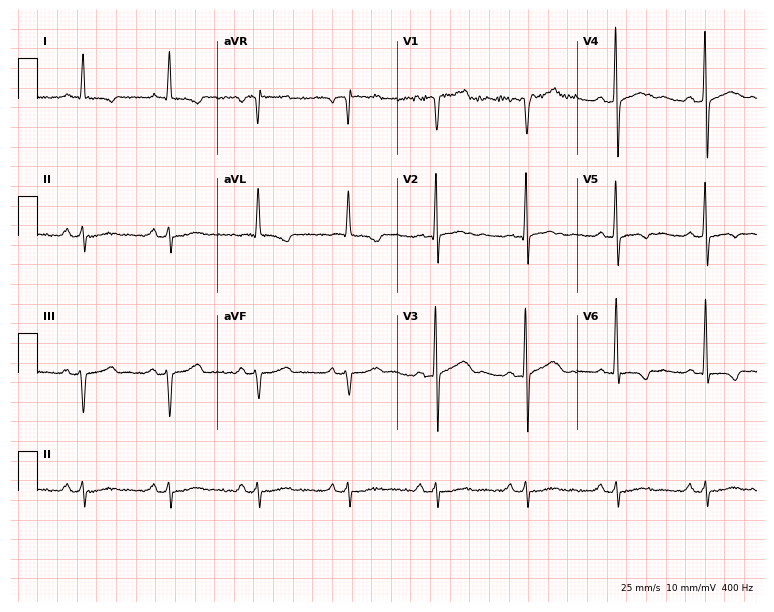
12-lead ECG from a 76-year-old male patient (7.3-second recording at 400 Hz). No first-degree AV block, right bundle branch block, left bundle branch block, sinus bradycardia, atrial fibrillation or sinus tachycardia recorded for this tracing. Only these six findings were labelled.